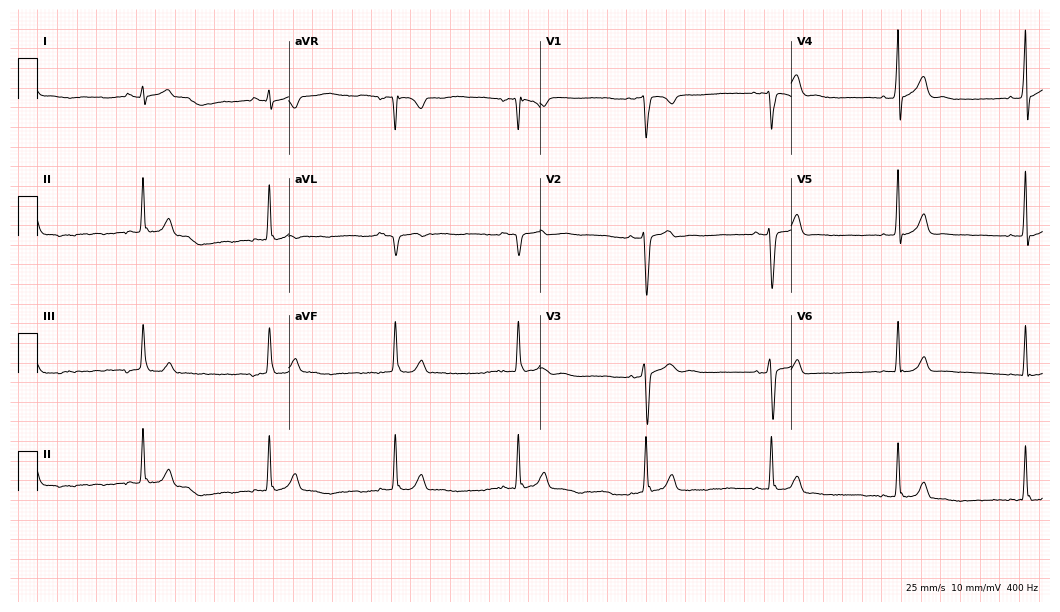
Standard 12-lead ECG recorded from a male, 19 years old (10.2-second recording at 400 Hz). None of these six findings is recorded: first-degree AV block, right bundle branch block, left bundle branch block, sinus bradycardia, atrial fibrillation, sinus tachycardia. Findings outside these six are not listed.